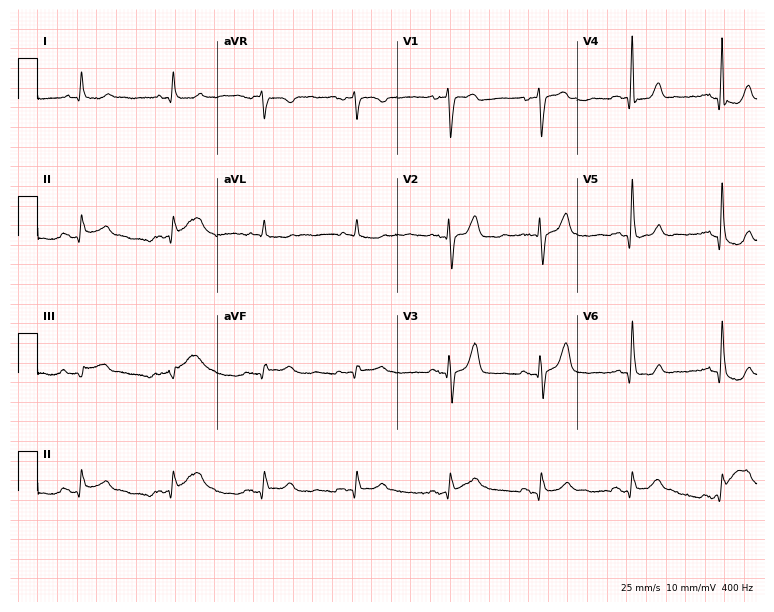
Electrocardiogram, a man, 76 years old. Of the six screened findings (first-degree AV block, right bundle branch block (RBBB), left bundle branch block (LBBB), sinus bradycardia, atrial fibrillation (AF), sinus tachycardia), none is recorded. Only these six findings were labelled.